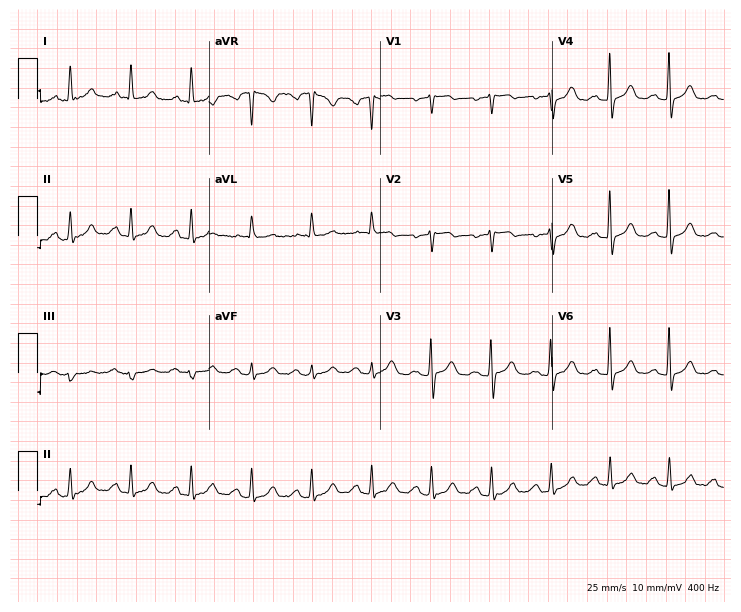
Resting 12-lead electrocardiogram (7-second recording at 400 Hz). Patient: a female, 68 years old. None of these six findings is recorded: first-degree AV block, right bundle branch block (RBBB), left bundle branch block (LBBB), sinus bradycardia, atrial fibrillation (AF), sinus tachycardia. Other findings, if any, are not listed.